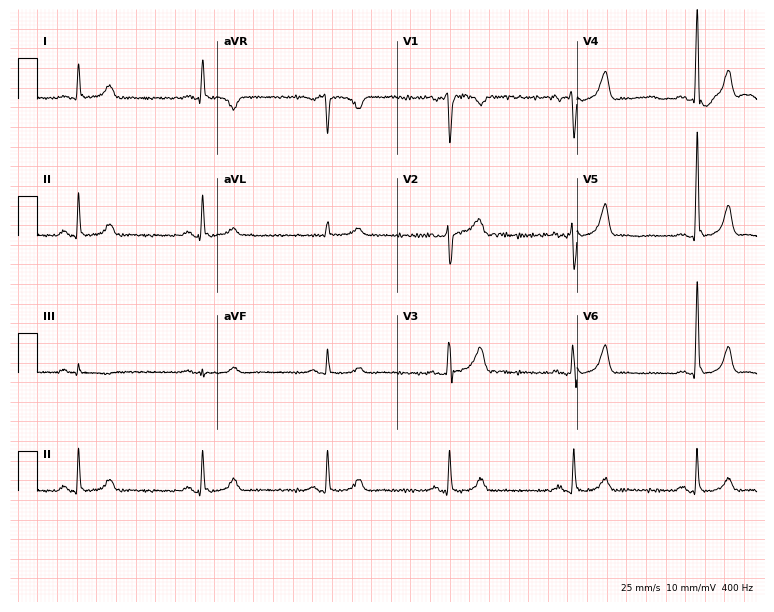
12-lead ECG from a 51-year-old male patient (7.3-second recording at 400 Hz). Shows sinus bradycardia (a sinus rate of 50 beats per minute or less).